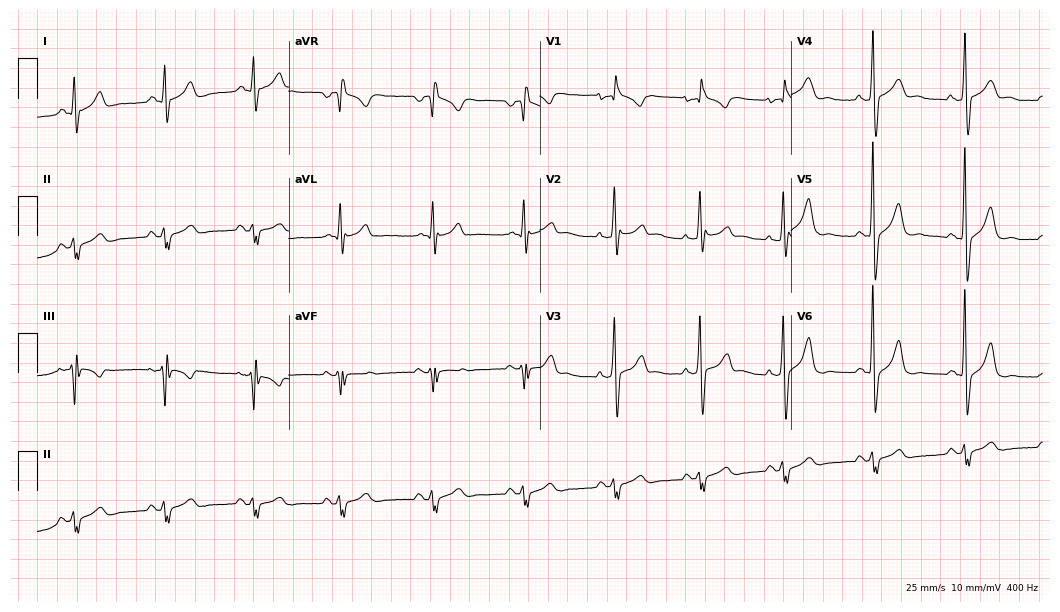
12-lead ECG from a male, 41 years old. No first-degree AV block, right bundle branch block, left bundle branch block, sinus bradycardia, atrial fibrillation or sinus tachycardia recorded for this tracing. Findings outside these six are not listed.